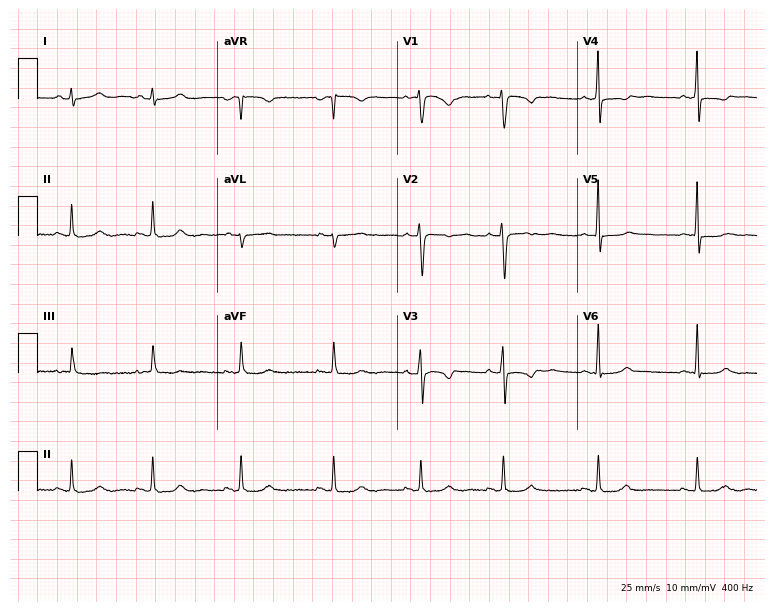
ECG — a 29-year-old female patient. Screened for six findings — first-degree AV block, right bundle branch block, left bundle branch block, sinus bradycardia, atrial fibrillation, sinus tachycardia — none is recorded. Only these six findings were labelled.